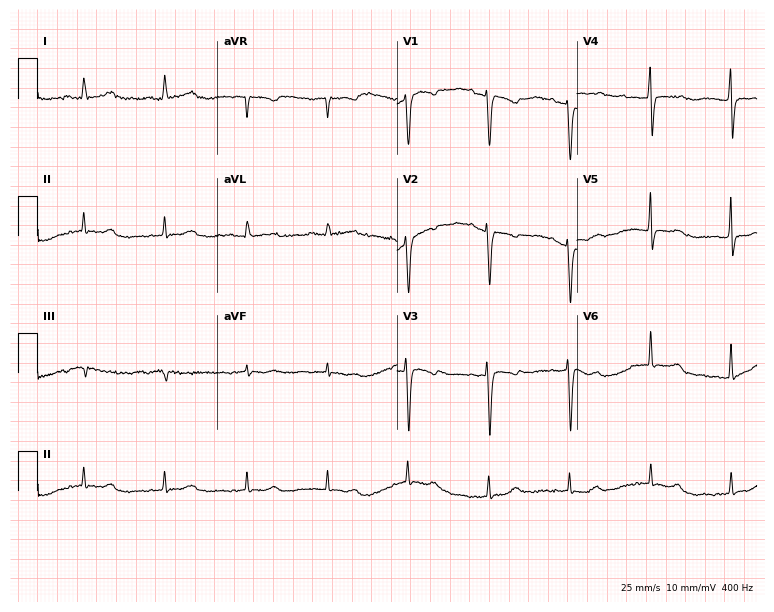
ECG (7.3-second recording at 400 Hz) — a 63-year-old female. Labelled as a normal ECG.